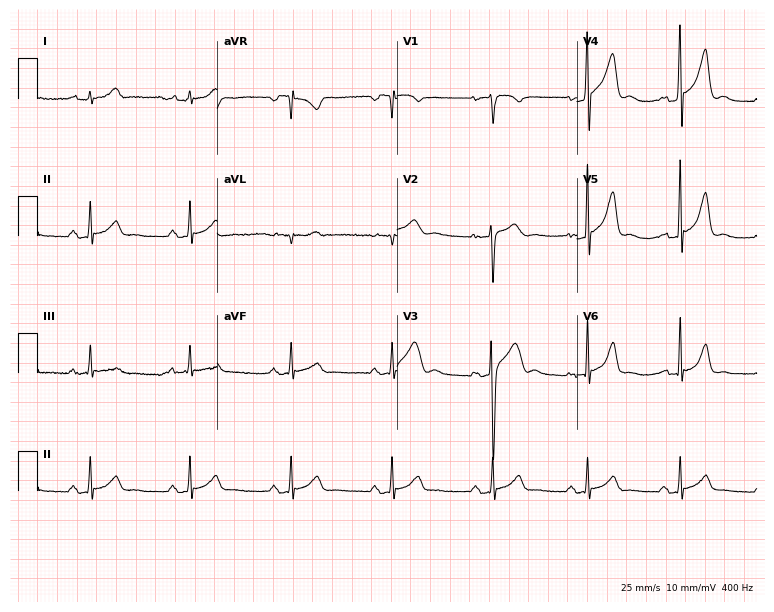
ECG (7.3-second recording at 400 Hz) — a 47-year-old male patient. Screened for six findings — first-degree AV block, right bundle branch block, left bundle branch block, sinus bradycardia, atrial fibrillation, sinus tachycardia — none is recorded.